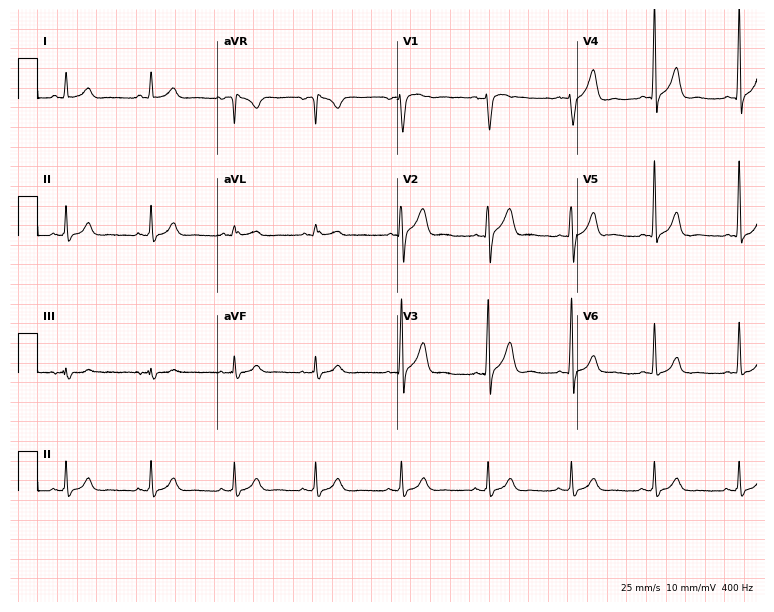
12-lead ECG from a man, 28 years old (7.3-second recording at 400 Hz). No first-degree AV block, right bundle branch block, left bundle branch block, sinus bradycardia, atrial fibrillation or sinus tachycardia recorded for this tracing.